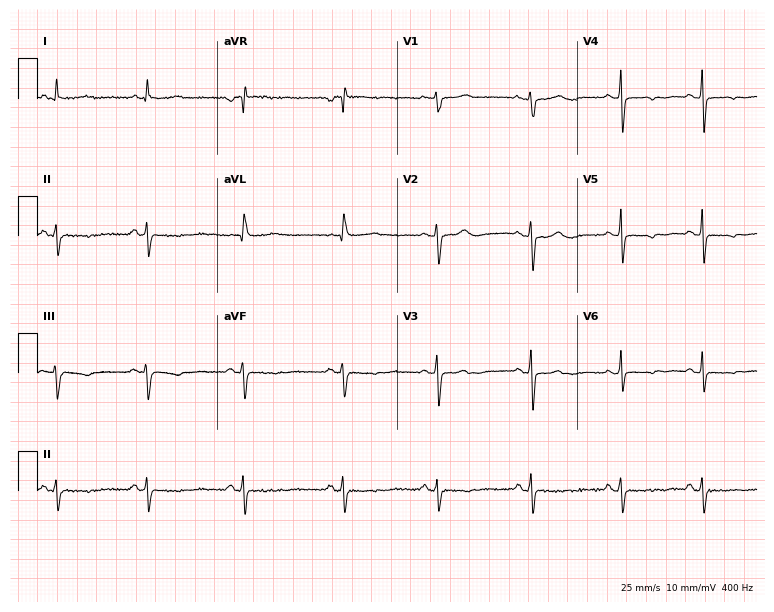
12-lead ECG from a female patient, 42 years old. Screened for six findings — first-degree AV block, right bundle branch block, left bundle branch block, sinus bradycardia, atrial fibrillation, sinus tachycardia — none is recorded. Findings outside these six are not listed.